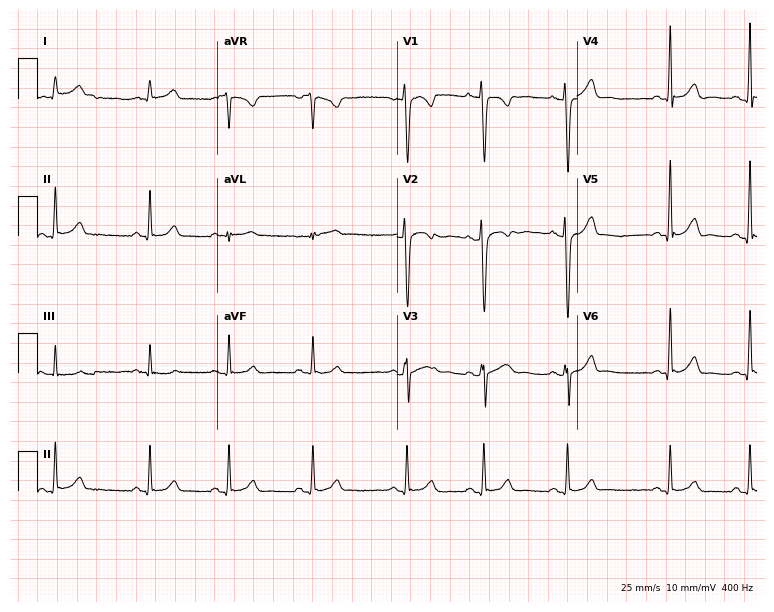
ECG — a 34-year-old female patient. Labelled as a normal ECG.